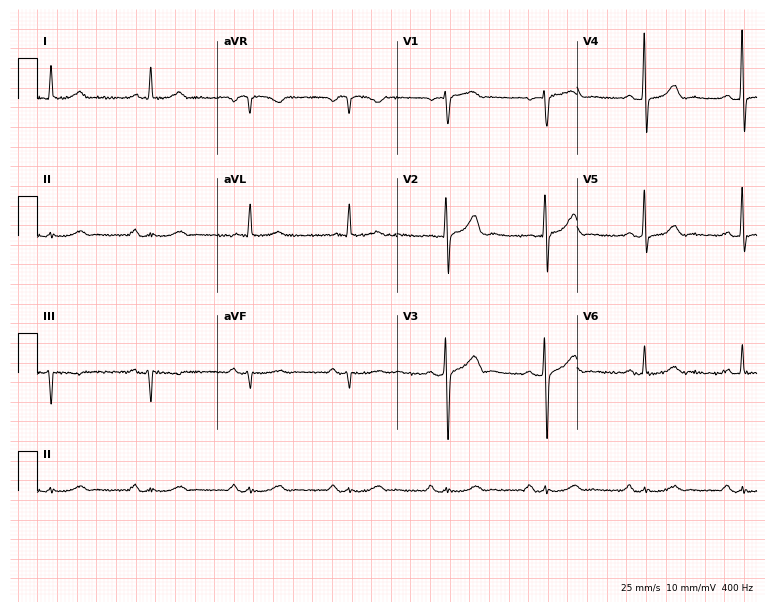
Electrocardiogram, a 61-year-old male. Overall reading on record: normal ECG.